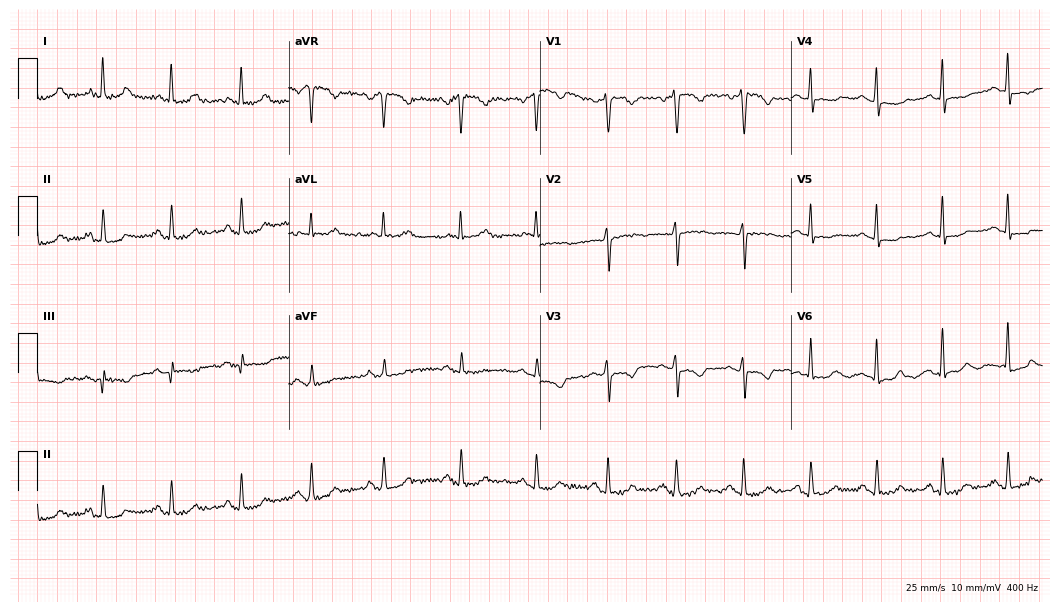
Resting 12-lead electrocardiogram (10.2-second recording at 400 Hz). Patient: a female, 67 years old. None of these six findings is recorded: first-degree AV block, right bundle branch block (RBBB), left bundle branch block (LBBB), sinus bradycardia, atrial fibrillation (AF), sinus tachycardia. Only these six findings were labelled.